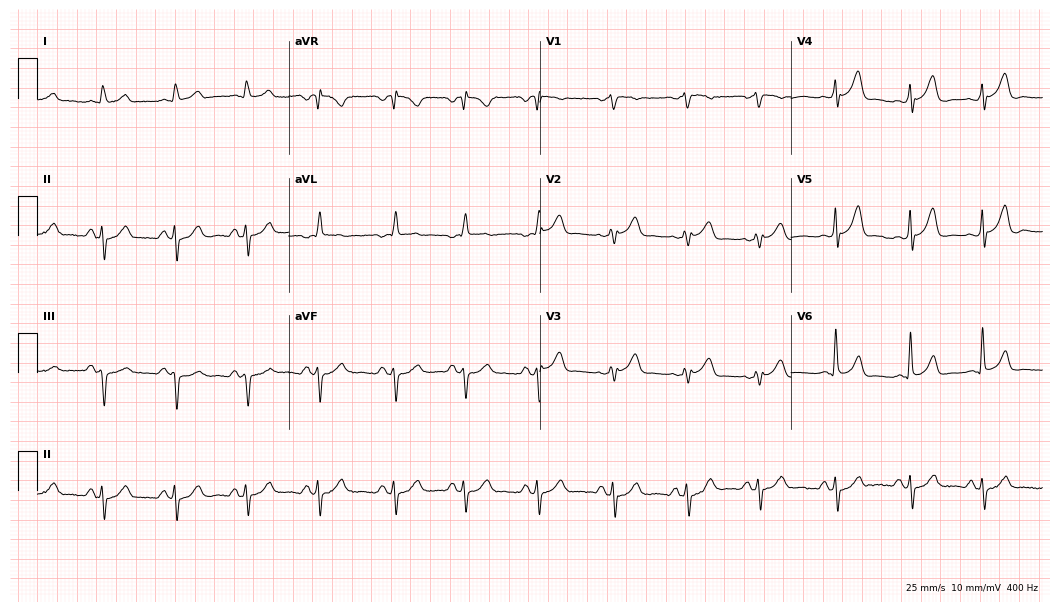
12-lead ECG from a 61-year-old male patient. Screened for six findings — first-degree AV block, right bundle branch block, left bundle branch block, sinus bradycardia, atrial fibrillation, sinus tachycardia — none is recorded. Findings outside these six are not listed.